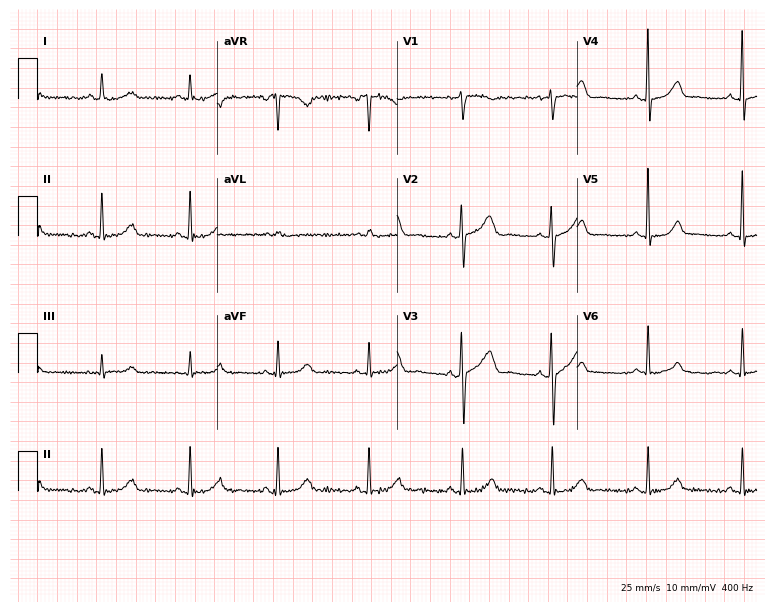
Standard 12-lead ECG recorded from a 46-year-old female patient (7.3-second recording at 400 Hz). None of these six findings is recorded: first-degree AV block, right bundle branch block (RBBB), left bundle branch block (LBBB), sinus bradycardia, atrial fibrillation (AF), sinus tachycardia. Only these six findings were labelled.